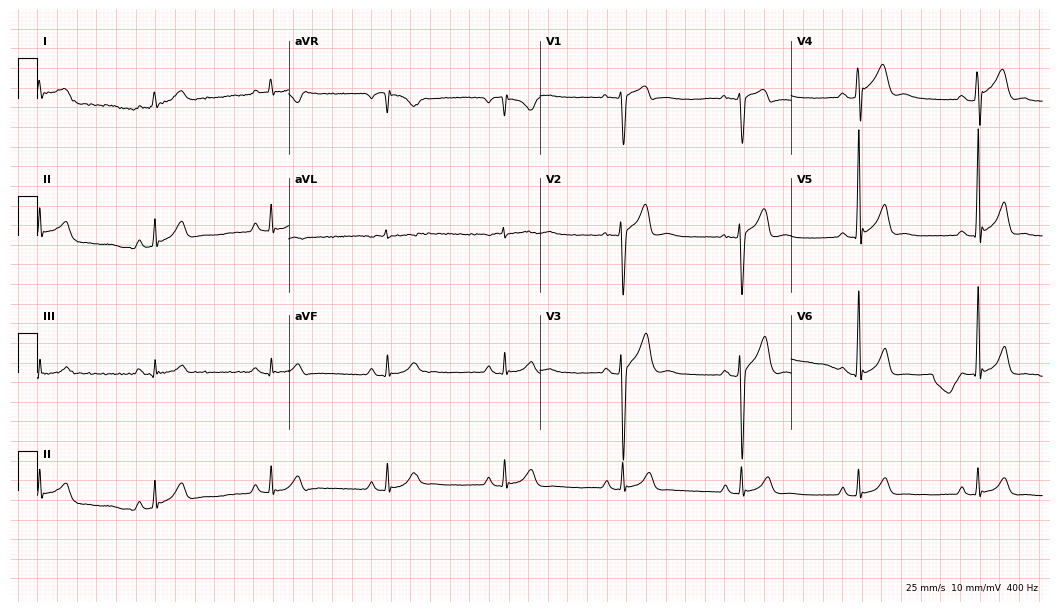
Standard 12-lead ECG recorded from a 20-year-old man. None of these six findings is recorded: first-degree AV block, right bundle branch block (RBBB), left bundle branch block (LBBB), sinus bradycardia, atrial fibrillation (AF), sinus tachycardia. Other findings, if any, are not listed.